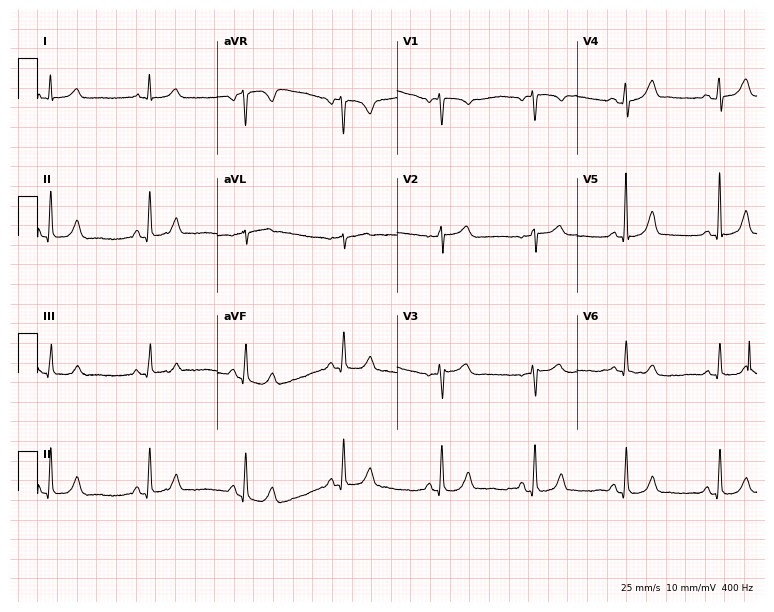
12-lead ECG from a 64-year-old female patient. Recorded interpretation: within normal limits.